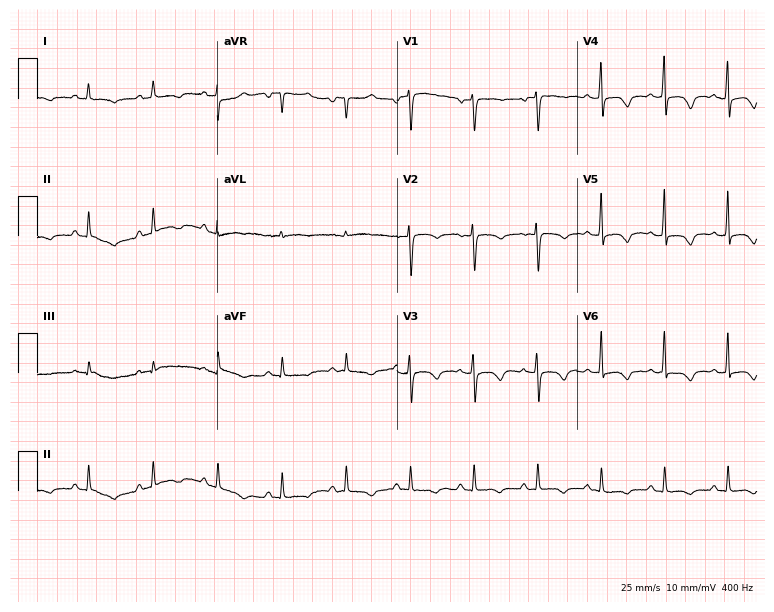
ECG — a 64-year-old female. Screened for six findings — first-degree AV block, right bundle branch block (RBBB), left bundle branch block (LBBB), sinus bradycardia, atrial fibrillation (AF), sinus tachycardia — none is recorded.